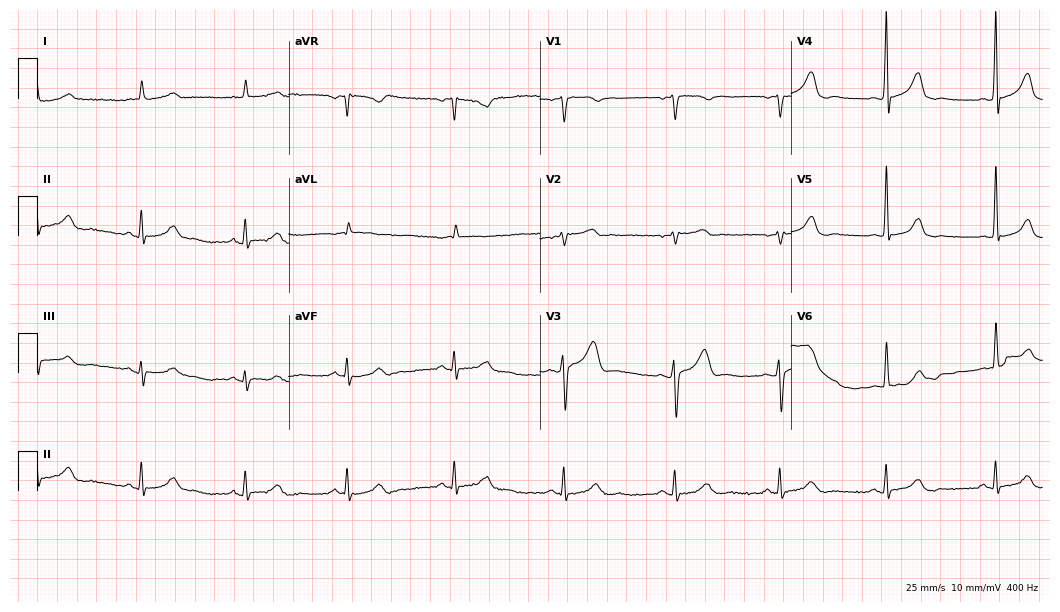
12-lead ECG from a male patient, 66 years old. Recorded interpretation: within normal limits.